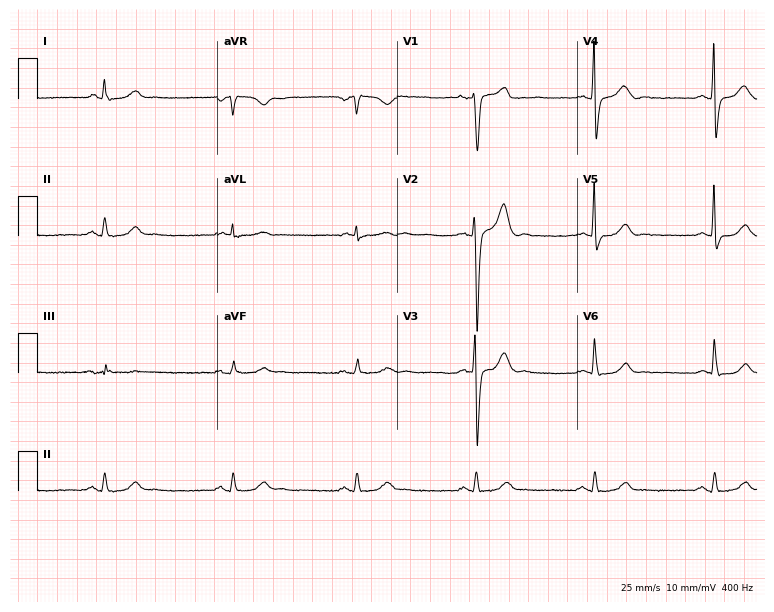
12-lead ECG from a man, 49 years old. Recorded interpretation: within normal limits.